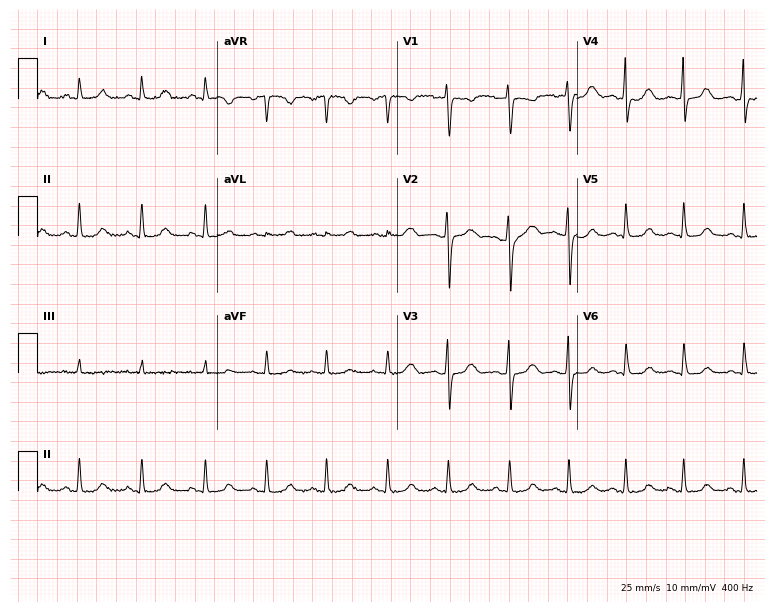
Resting 12-lead electrocardiogram (7.3-second recording at 400 Hz). Patient: a female, 31 years old. None of these six findings is recorded: first-degree AV block, right bundle branch block, left bundle branch block, sinus bradycardia, atrial fibrillation, sinus tachycardia. Findings outside these six are not listed.